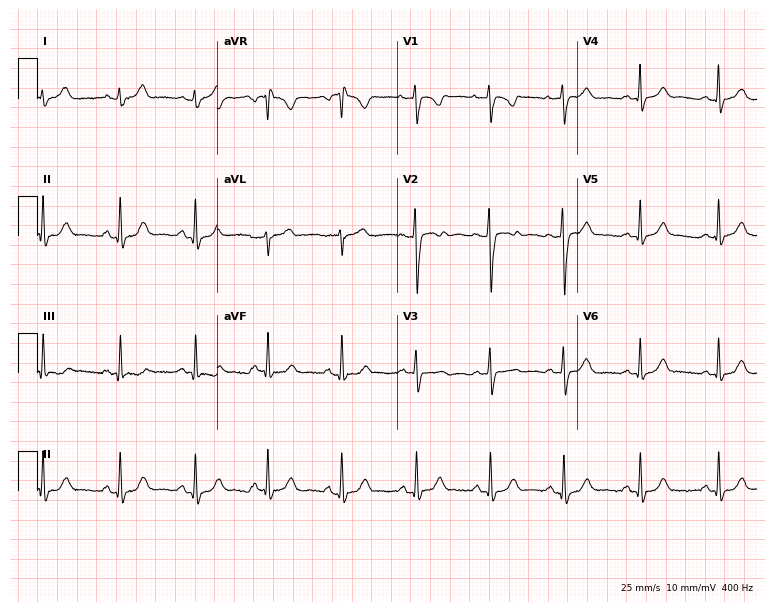
12-lead ECG from a female patient, 30 years old. Recorded interpretation: within normal limits.